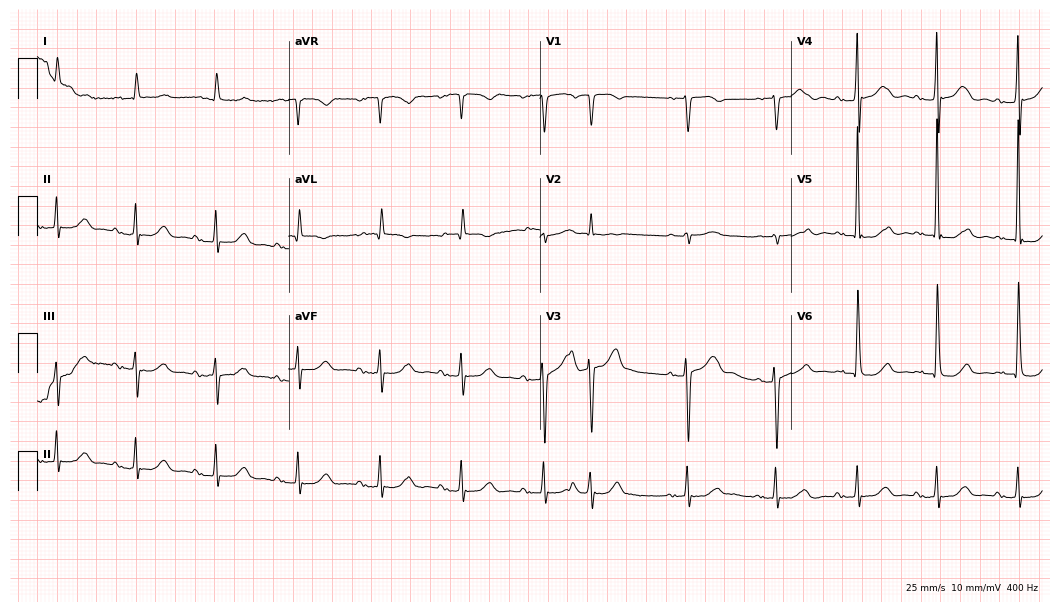
Electrocardiogram, a 70-year-old male. Of the six screened findings (first-degree AV block, right bundle branch block, left bundle branch block, sinus bradycardia, atrial fibrillation, sinus tachycardia), none is recorded. Findings outside these six are not listed.